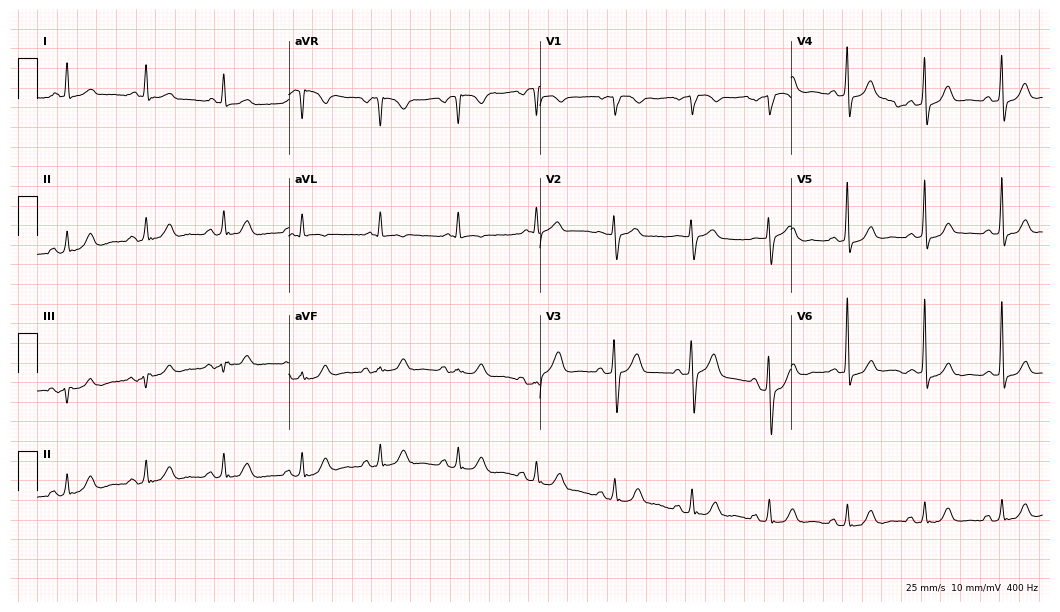
Standard 12-lead ECG recorded from a 61-year-old male patient (10.2-second recording at 400 Hz). None of these six findings is recorded: first-degree AV block, right bundle branch block, left bundle branch block, sinus bradycardia, atrial fibrillation, sinus tachycardia. Other findings, if any, are not listed.